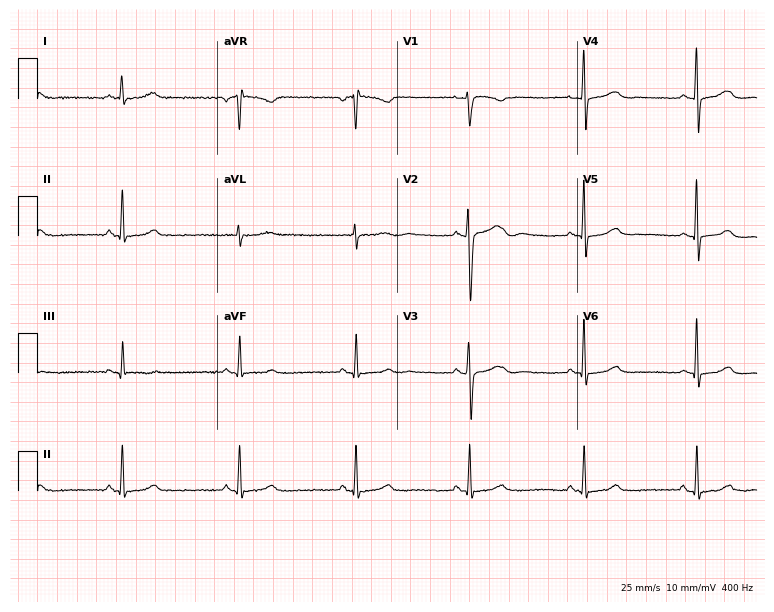
Resting 12-lead electrocardiogram (7.3-second recording at 400 Hz). Patient: a woman, 51 years old. None of these six findings is recorded: first-degree AV block, right bundle branch block (RBBB), left bundle branch block (LBBB), sinus bradycardia, atrial fibrillation (AF), sinus tachycardia.